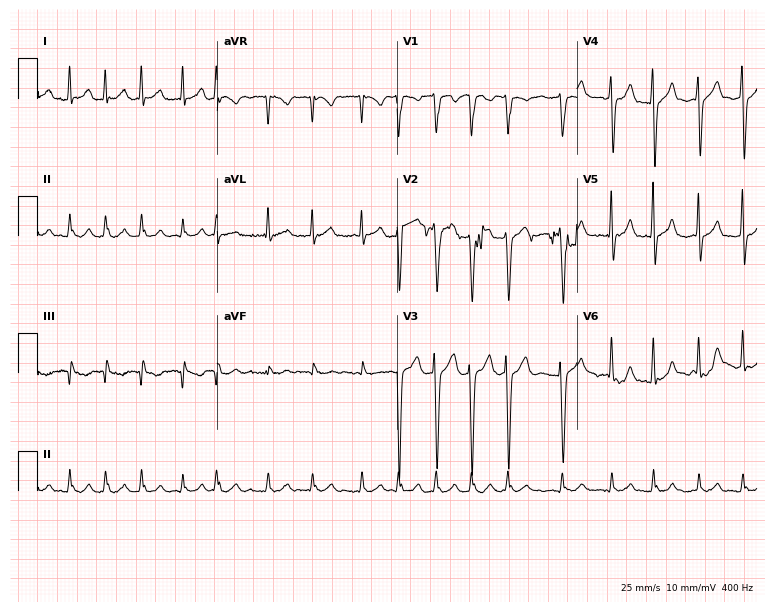
12-lead ECG from a male patient, 61 years old. Shows atrial fibrillation.